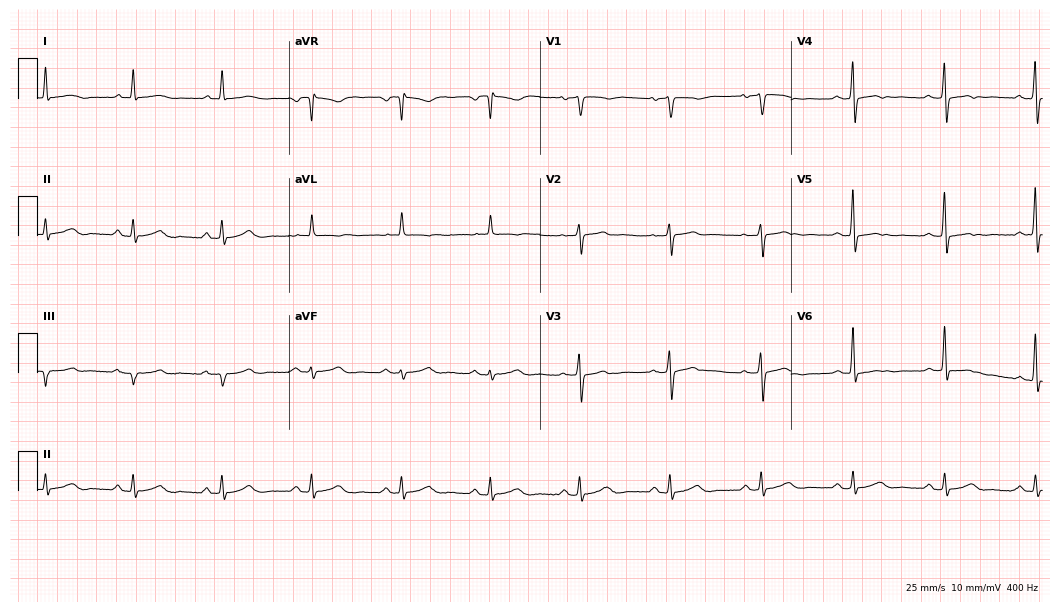
12-lead ECG from a male patient, 69 years old (10.2-second recording at 400 Hz). No first-degree AV block, right bundle branch block, left bundle branch block, sinus bradycardia, atrial fibrillation or sinus tachycardia recorded for this tracing. Only these six findings were labelled.